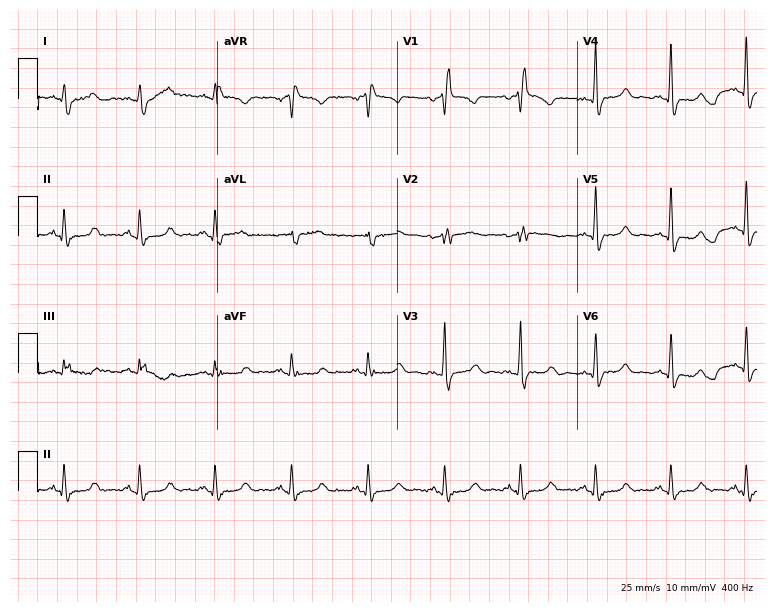
ECG (7.3-second recording at 400 Hz) — a 74-year-old male patient. Screened for six findings — first-degree AV block, right bundle branch block, left bundle branch block, sinus bradycardia, atrial fibrillation, sinus tachycardia — none is recorded.